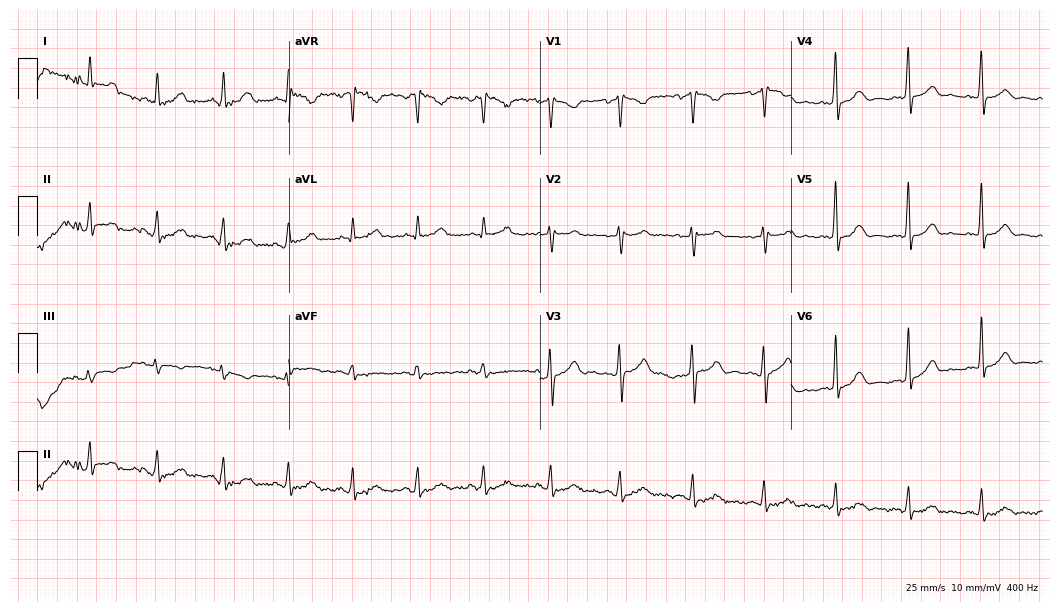
12-lead ECG from a female, 46 years old. No first-degree AV block, right bundle branch block, left bundle branch block, sinus bradycardia, atrial fibrillation or sinus tachycardia recorded for this tracing. Other findings, if any, are not listed.